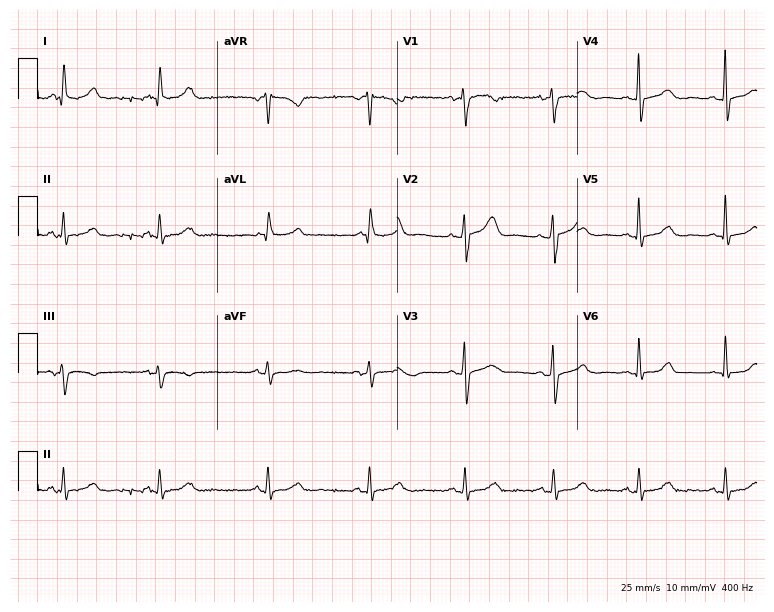
ECG (7.3-second recording at 400 Hz) — a 60-year-old female patient. Labelled as a normal ECG.